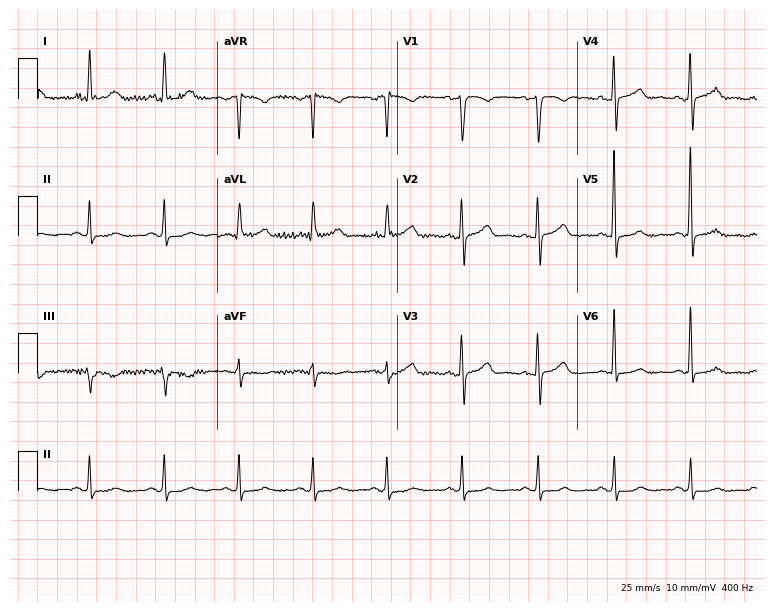
12-lead ECG from a woman, 68 years old. No first-degree AV block, right bundle branch block, left bundle branch block, sinus bradycardia, atrial fibrillation or sinus tachycardia recorded for this tracing.